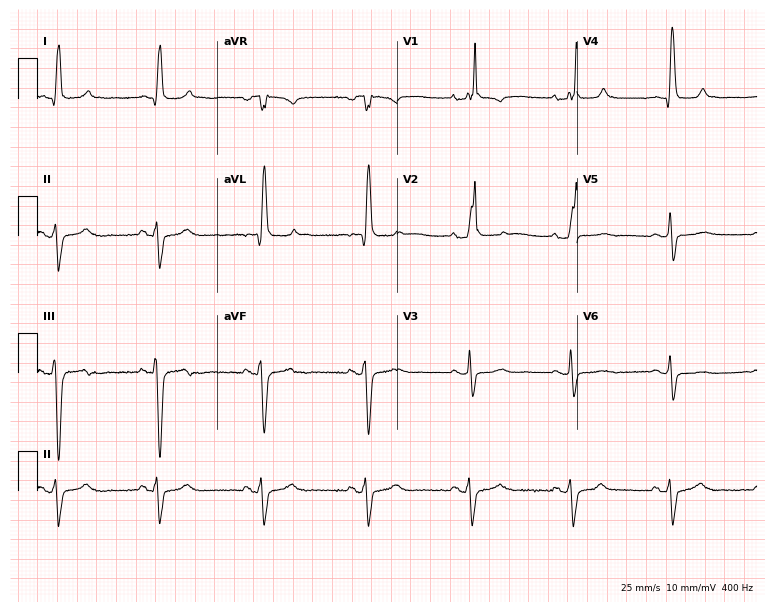
ECG (7.3-second recording at 400 Hz) — an 85-year-old woman. Findings include right bundle branch block.